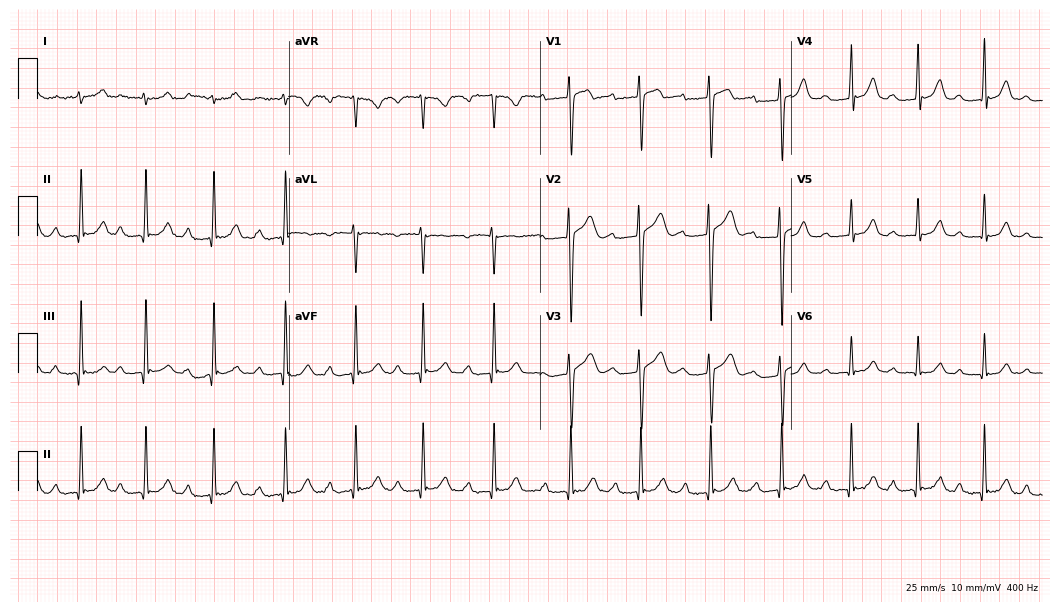
12-lead ECG from a male patient, 17 years old (10.2-second recording at 400 Hz). Shows first-degree AV block.